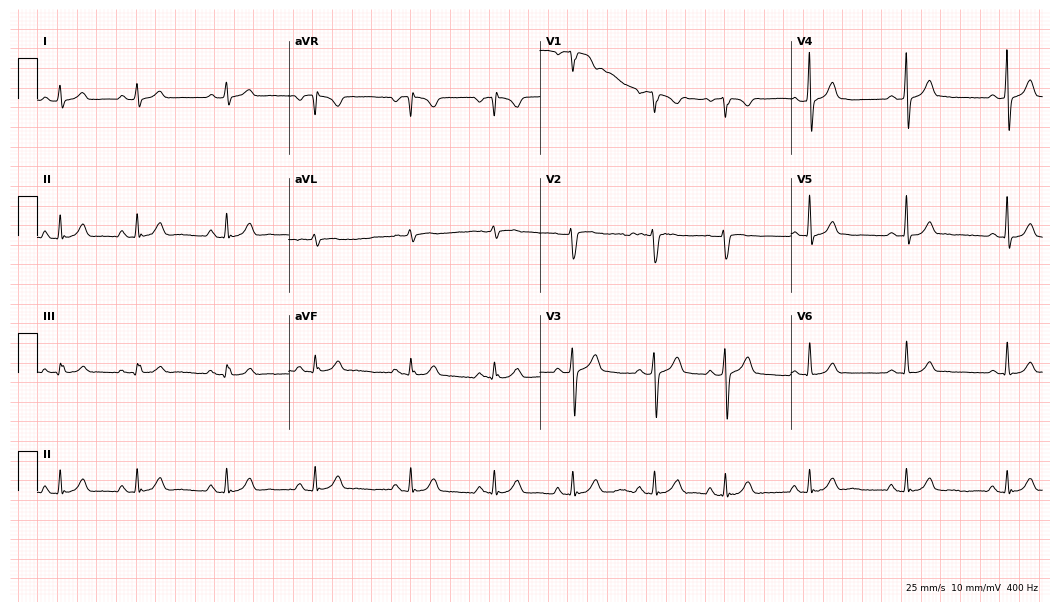
Electrocardiogram (10.2-second recording at 400 Hz), a 22-year-old male patient. Of the six screened findings (first-degree AV block, right bundle branch block, left bundle branch block, sinus bradycardia, atrial fibrillation, sinus tachycardia), none is recorded. Other findings, if any, are not listed.